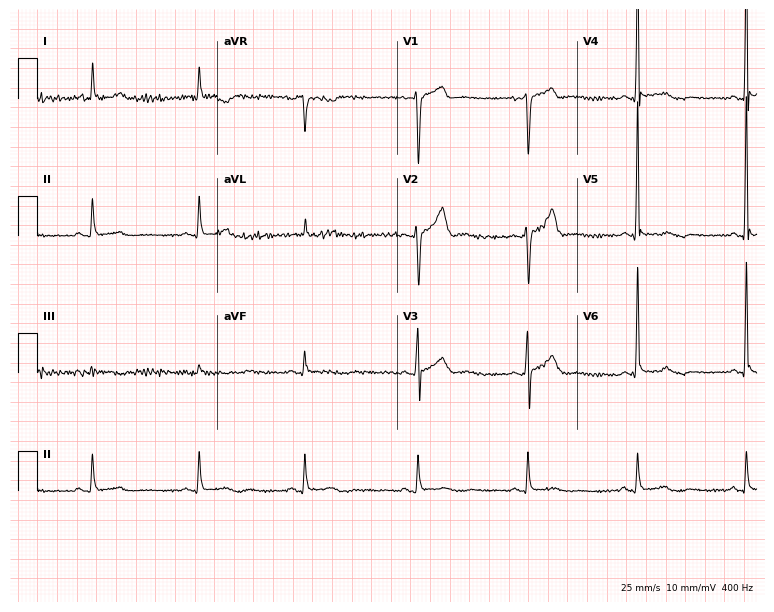
Electrocardiogram (7.3-second recording at 400 Hz), a man, 53 years old. Of the six screened findings (first-degree AV block, right bundle branch block, left bundle branch block, sinus bradycardia, atrial fibrillation, sinus tachycardia), none is recorded.